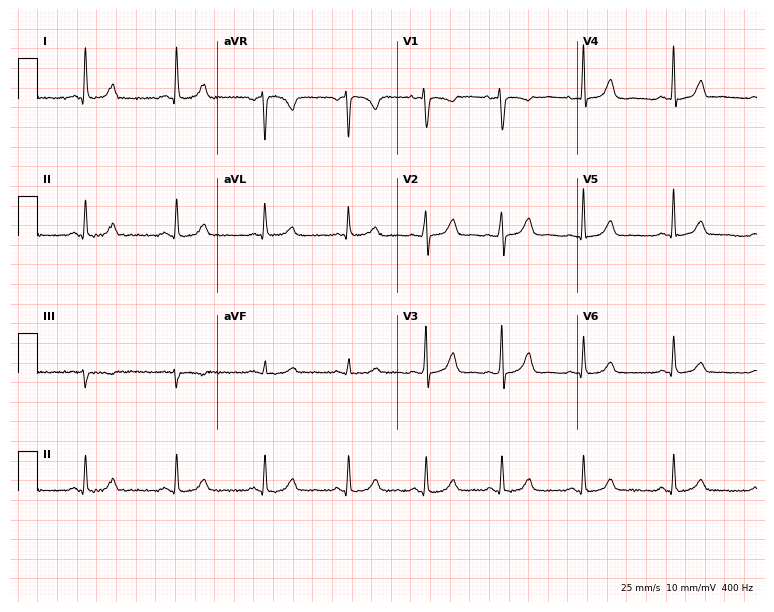
Electrocardiogram, a female, 41 years old. Overall reading on record: normal ECG.